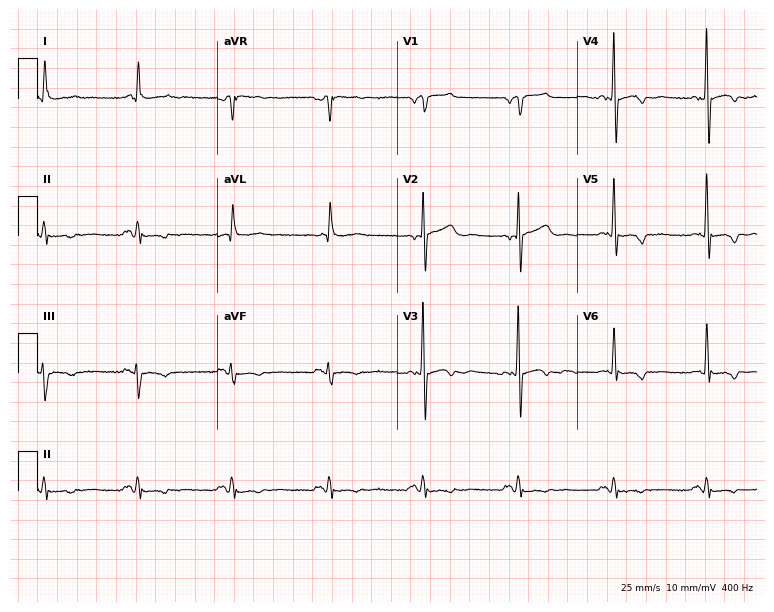
Resting 12-lead electrocardiogram. Patient: a 69-year-old man. None of these six findings is recorded: first-degree AV block, right bundle branch block, left bundle branch block, sinus bradycardia, atrial fibrillation, sinus tachycardia. Only these six findings were labelled.